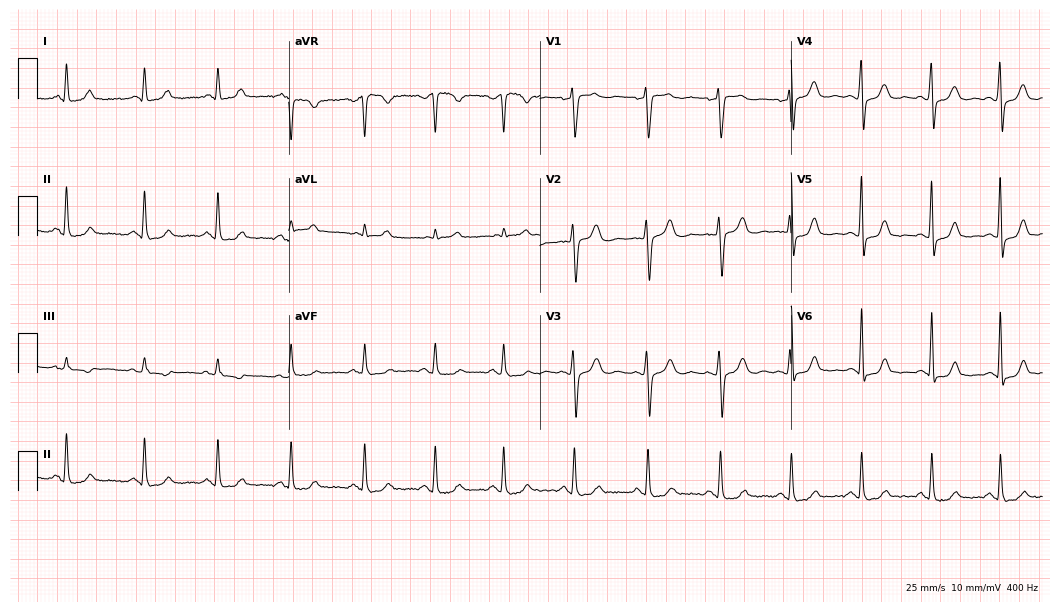
12-lead ECG (10.2-second recording at 400 Hz) from a 42-year-old female. Screened for six findings — first-degree AV block, right bundle branch block, left bundle branch block, sinus bradycardia, atrial fibrillation, sinus tachycardia — none is recorded. Findings outside these six are not listed.